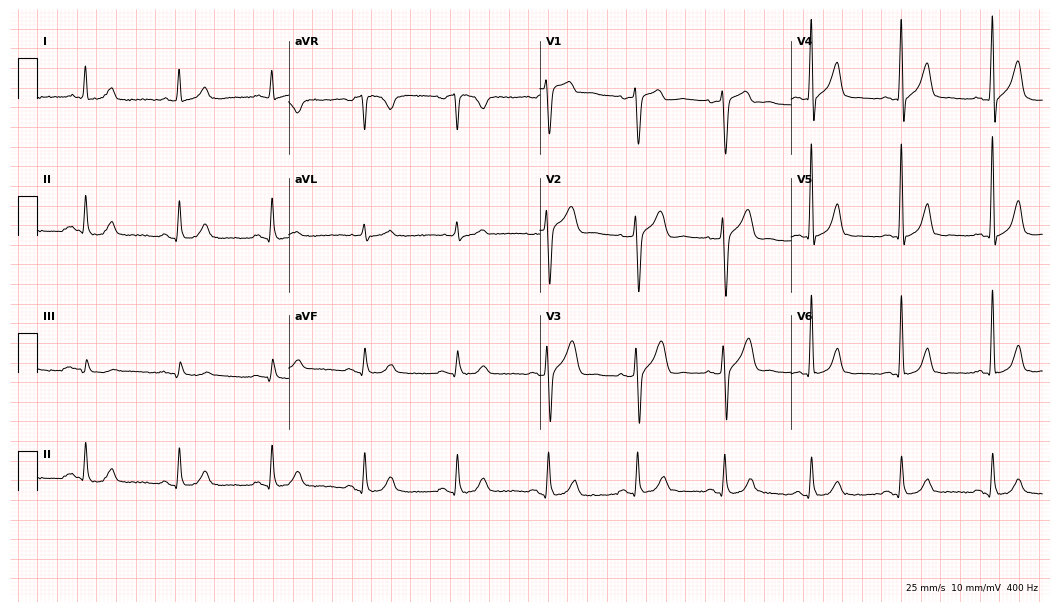
ECG (10.2-second recording at 400 Hz) — a 72-year-old male. Screened for six findings — first-degree AV block, right bundle branch block, left bundle branch block, sinus bradycardia, atrial fibrillation, sinus tachycardia — none is recorded. Other findings, if any, are not listed.